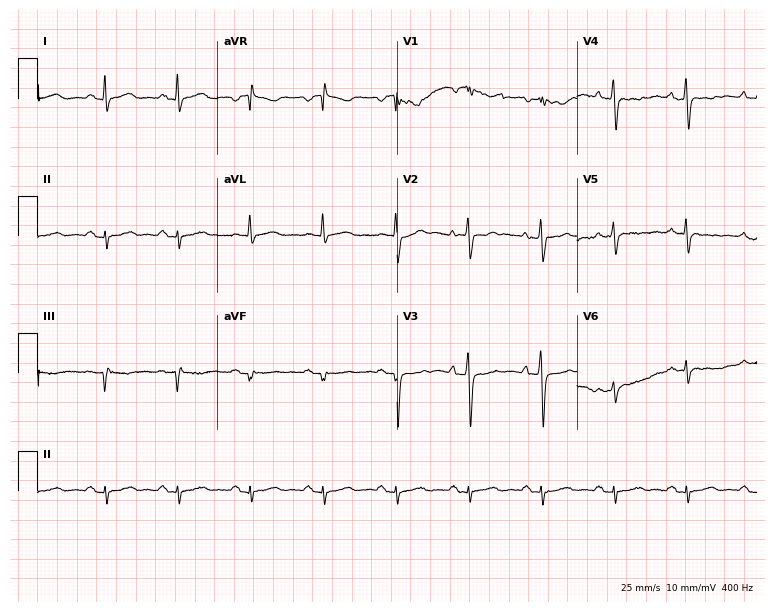
Electrocardiogram (7.3-second recording at 400 Hz), a female patient, 72 years old. Of the six screened findings (first-degree AV block, right bundle branch block, left bundle branch block, sinus bradycardia, atrial fibrillation, sinus tachycardia), none is recorded. Findings outside these six are not listed.